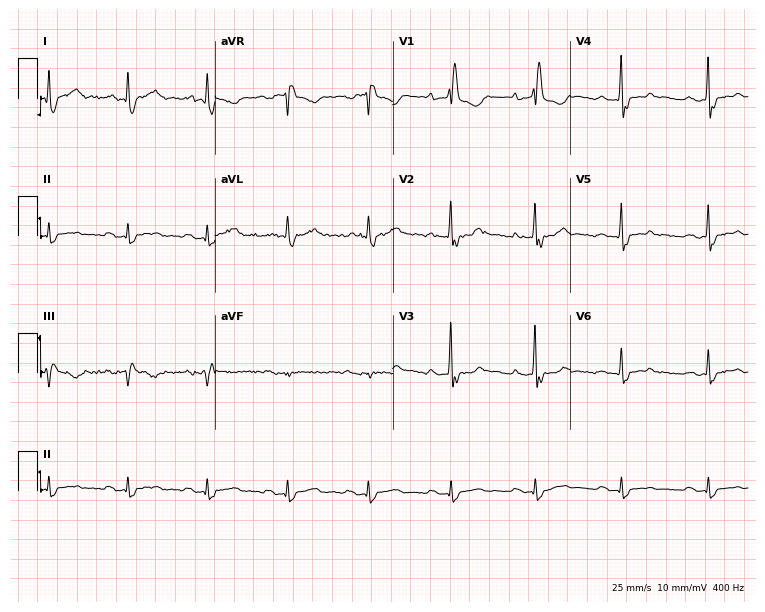
Electrocardiogram, a woman, 72 years old. Of the six screened findings (first-degree AV block, right bundle branch block (RBBB), left bundle branch block (LBBB), sinus bradycardia, atrial fibrillation (AF), sinus tachycardia), none is recorded.